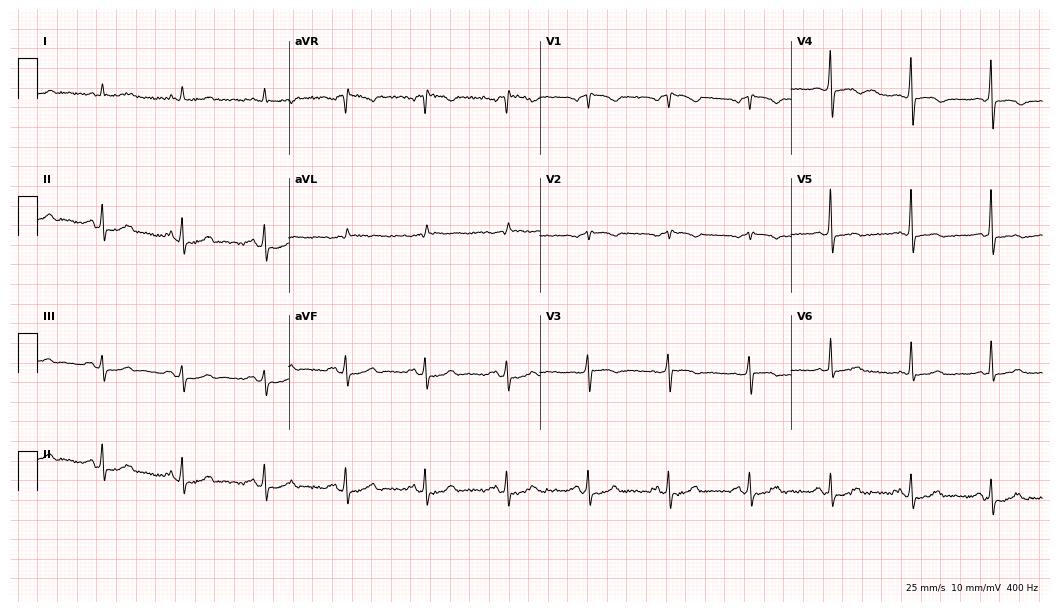
Resting 12-lead electrocardiogram (10.2-second recording at 400 Hz). Patient: a 69-year-old man. None of these six findings is recorded: first-degree AV block, right bundle branch block, left bundle branch block, sinus bradycardia, atrial fibrillation, sinus tachycardia.